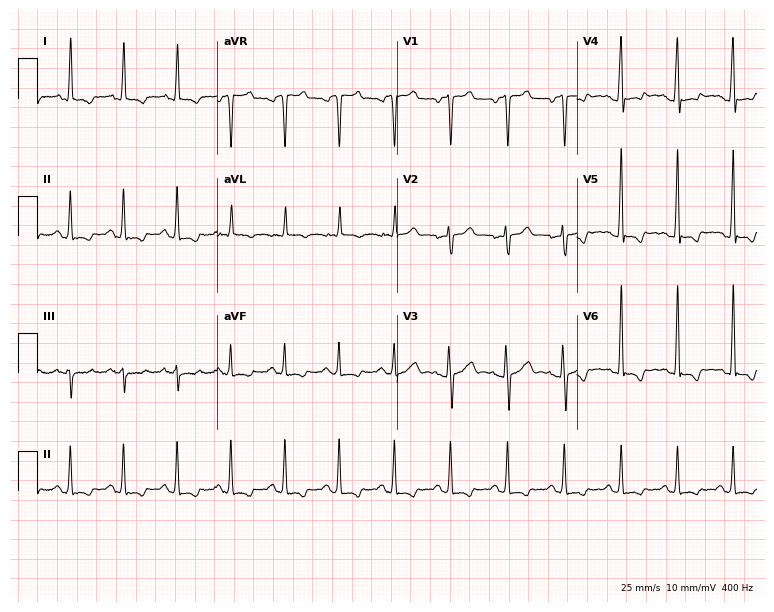
ECG (7.3-second recording at 400 Hz) — a 28-year-old male. Findings include sinus tachycardia (a sinus rate of 100 beats per minute or more).